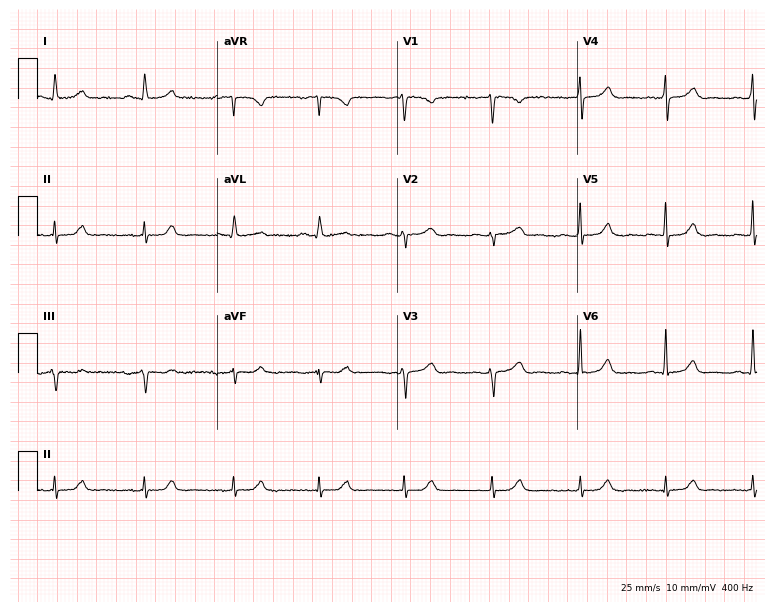
Resting 12-lead electrocardiogram (7.3-second recording at 400 Hz). Patient: a 68-year-old female. None of these six findings is recorded: first-degree AV block, right bundle branch block, left bundle branch block, sinus bradycardia, atrial fibrillation, sinus tachycardia.